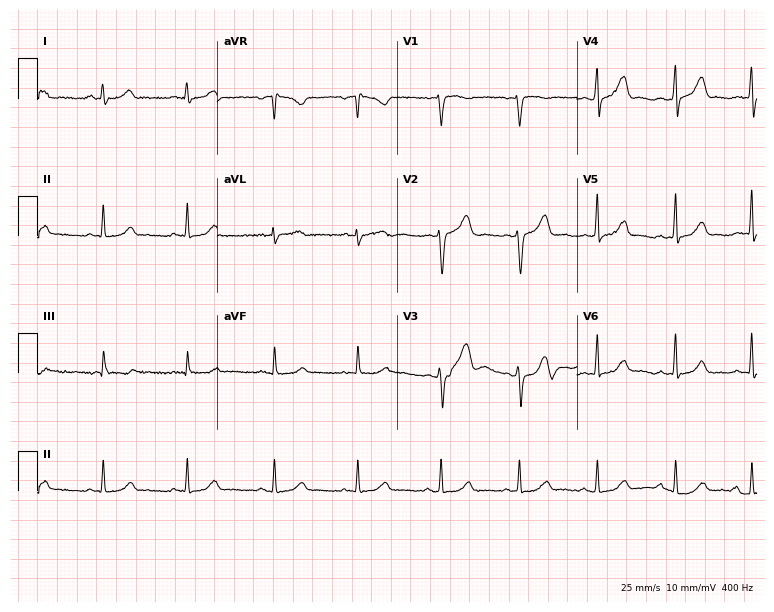
Resting 12-lead electrocardiogram (7.3-second recording at 400 Hz). Patient: a woman, 41 years old. Read as a normal ECG.